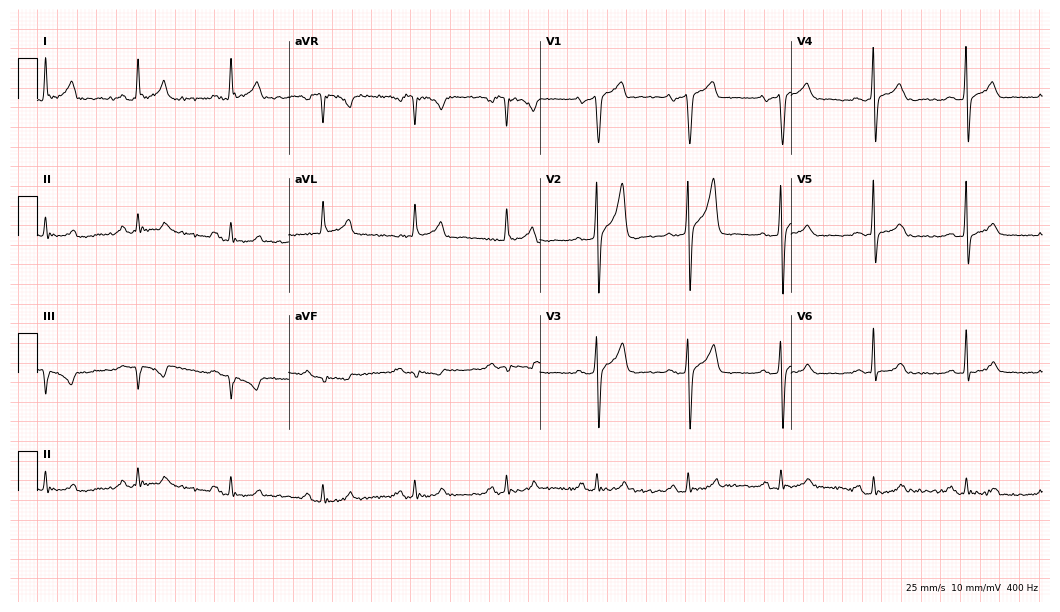
Standard 12-lead ECG recorded from a 63-year-old man. None of these six findings is recorded: first-degree AV block, right bundle branch block (RBBB), left bundle branch block (LBBB), sinus bradycardia, atrial fibrillation (AF), sinus tachycardia.